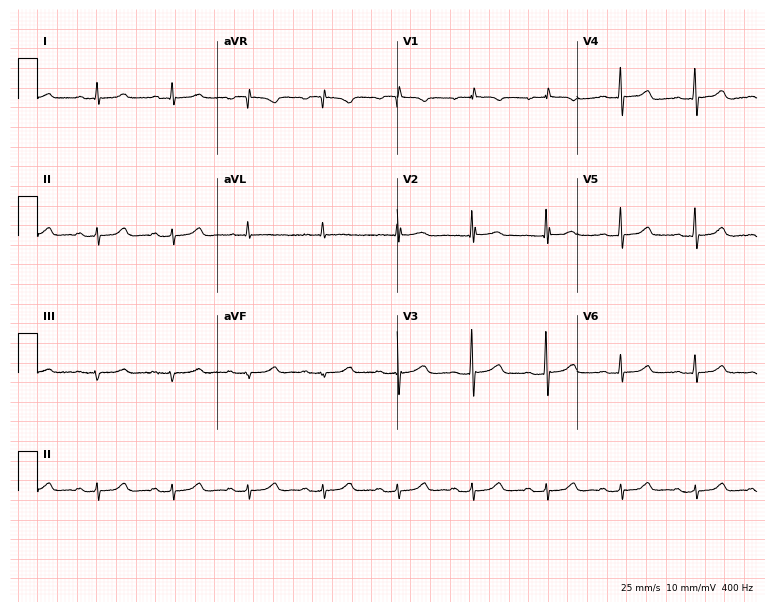
12-lead ECG (7.3-second recording at 400 Hz) from a male patient, 84 years old. Labelled as a normal ECG.